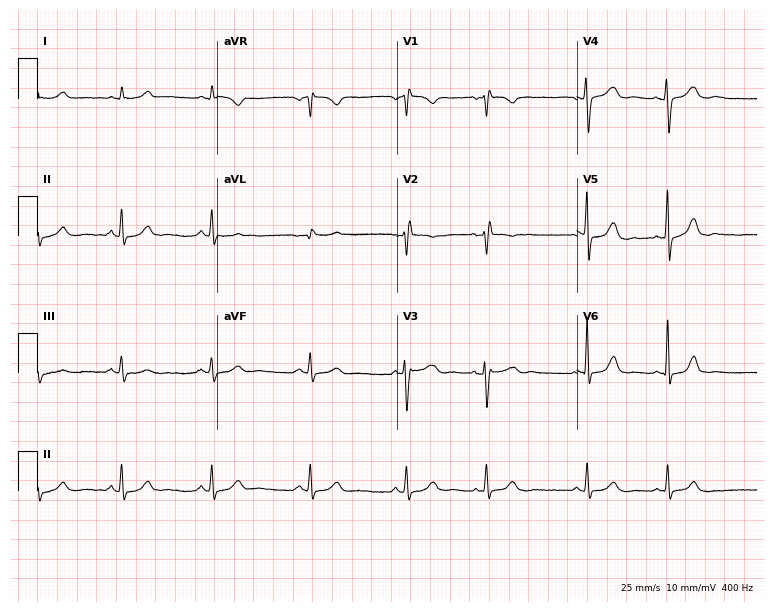
Standard 12-lead ECG recorded from a 50-year-old female (7.3-second recording at 400 Hz). Read as a normal ECG.